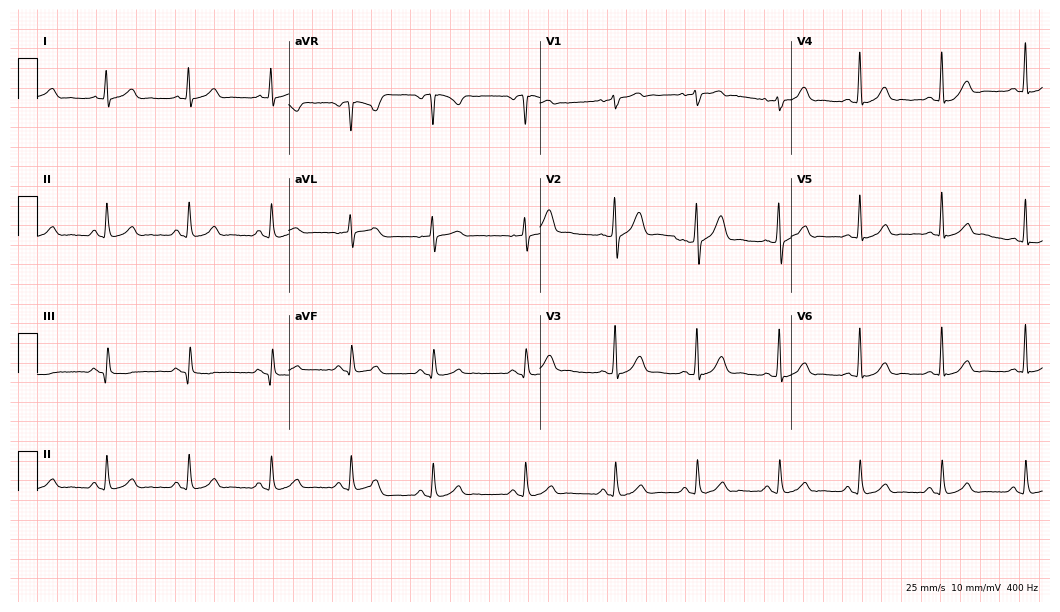
Electrocardiogram (10.2-second recording at 400 Hz), a man, 53 years old. Of the six screened findings (first-degree AV block, right bundle branch block, left bundle branch block, sinus bradycardia, atrial fibrillation, sinus tachycardia), none is recorded. Only these six findings were labelled.